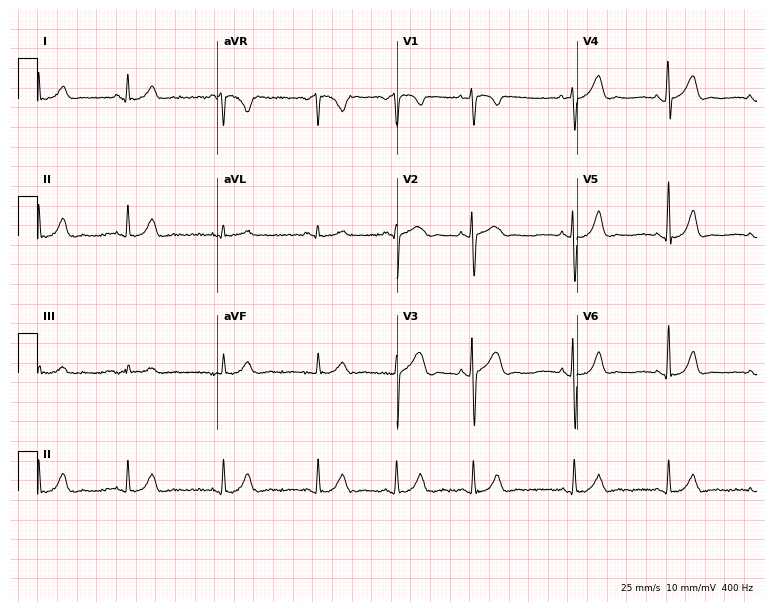
12-lead ECG from a woman, 25 years old. Recorded interpretation: within normal limits.